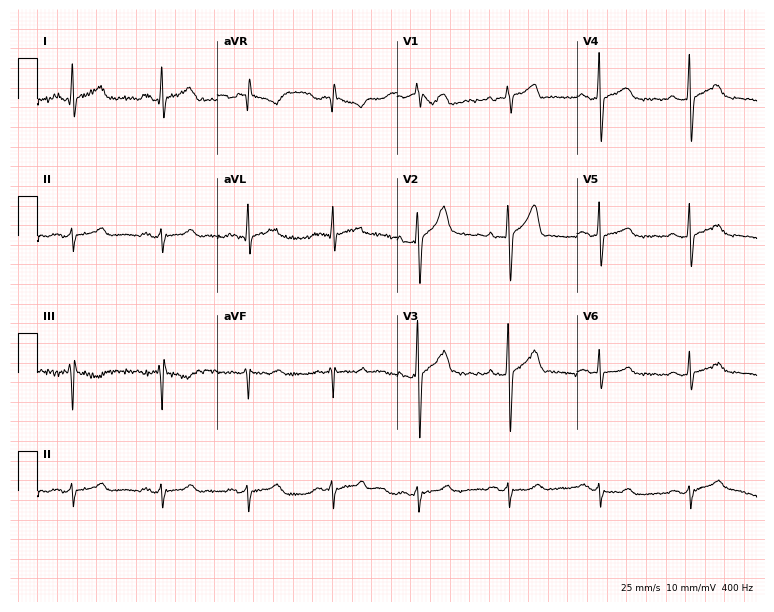
Resting 12-lead electrocardiogram. Patient: a 41-year-old female. None of these six findings is recorded: first-degree AV block, right bundle branch block, left bundle branch block, sinus bradycardia, atrial fibrillation, sinus tachycardia. Findings outside these six are not listed.